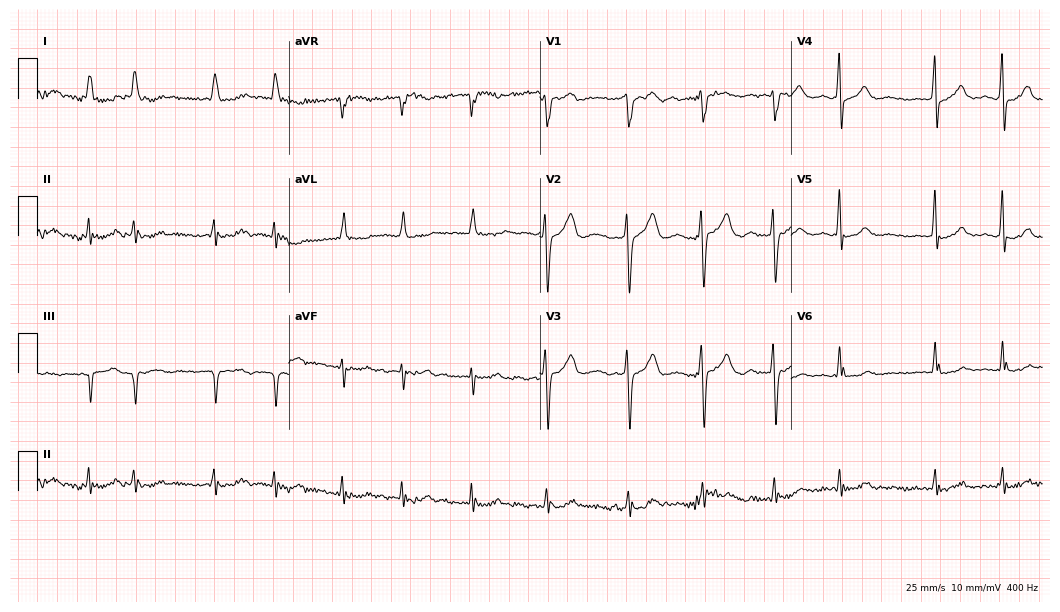
12-lead ECG from a female, 72 years old (10.2-second recording at 400 Hz). Shows atrial fibrillation (AF).